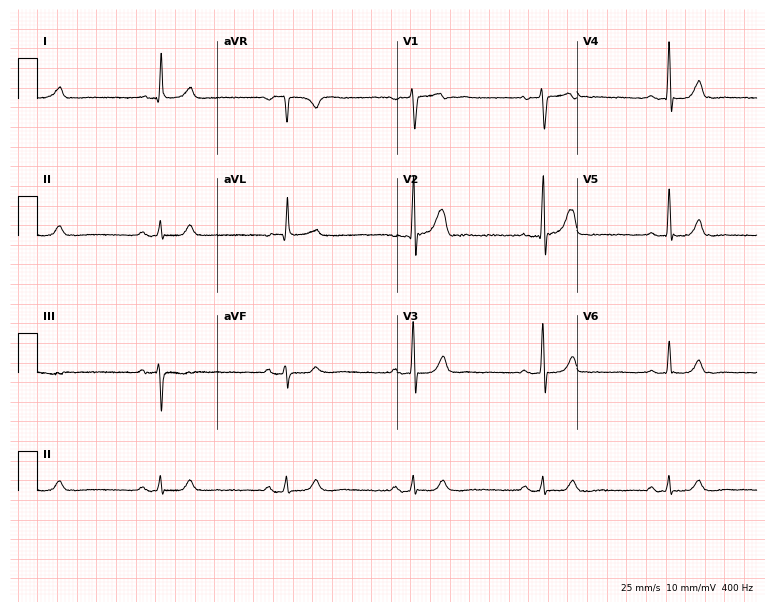
Electrocardiogram (7.3-second recording at 400 Hz), a male, 51 years old. Interpretation includes sinus bradycardia (a sinus rate of 50 beats per minute or less).